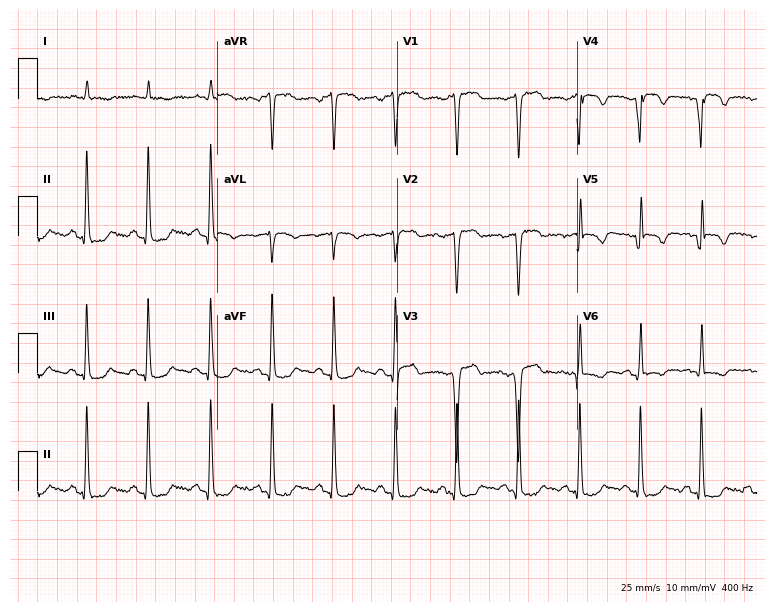
Resting 12-lead electrocardiogram. Patient: a man, 75 years old. None of these six findings is recorded: first-degree AV block, right bundle branch block (RBBB), left bundle branch block (LBBB), sinus bradycardia, atrial fibrillation (AF), sinus tachycardia. Other findings, if any, are not listed.